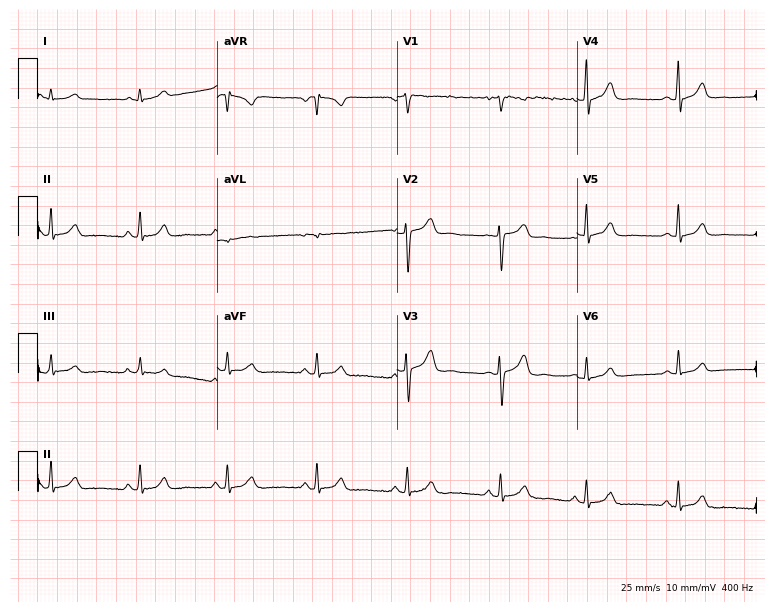
ECG (7.3-second recording at 400 Hz) — a 36-year-old female. Screened for six findings — first-degree AV block, right bundle branch block, left bundle branch block, sinus bradycardia, atrial fibrillation, sinus tachycardia — none is recorded. Findings outside these six are not listed.